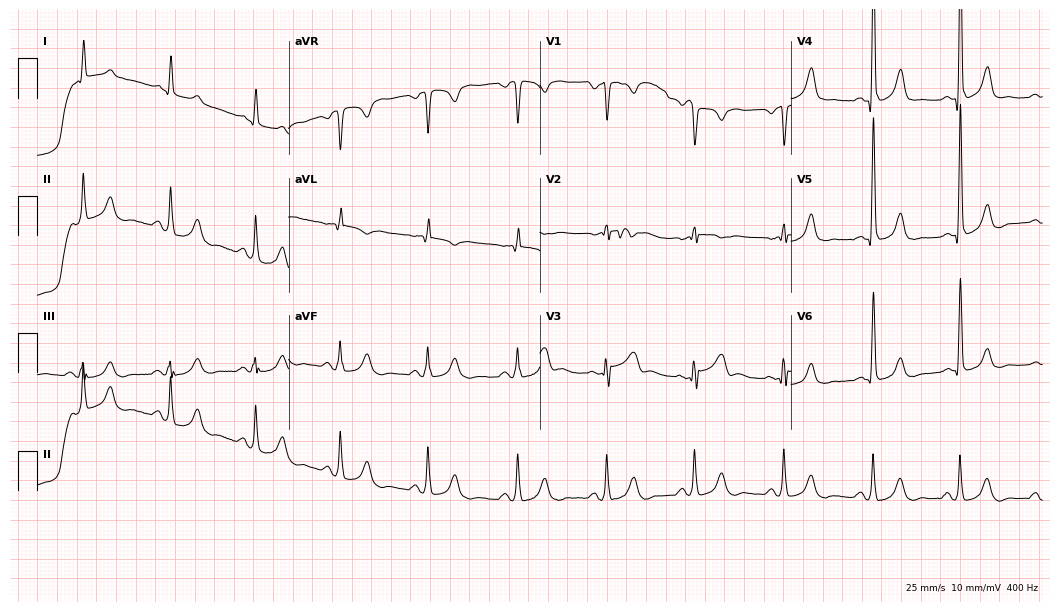
Standard 12-lead ECG recorded from a male, 68 years old. Read as a normal ECG.